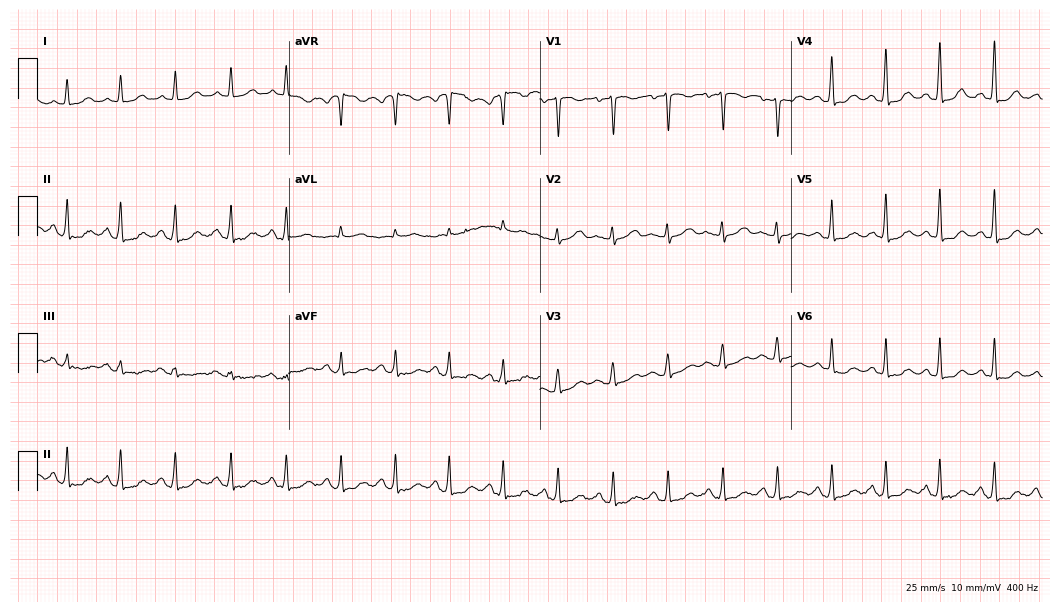
12-lead ECG from a female patient, 46 years old. Shows sinus tachycardia (a sinus rate of 100 beats per minute or more).